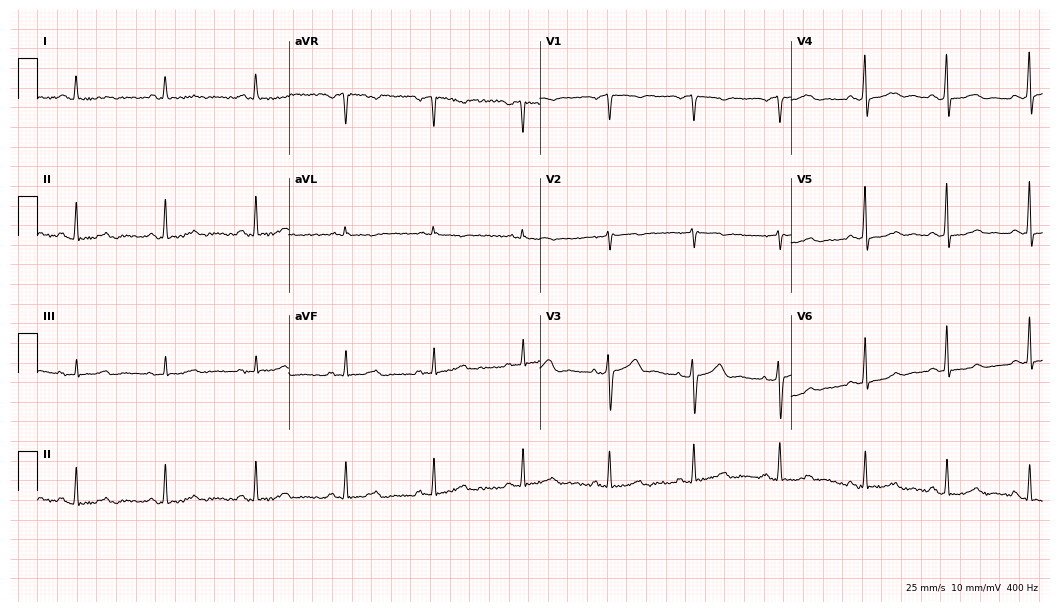
12-lead ECG from a female patient, 55 years old. Screened for six findings — first-degree AV block, right bundle branch block, left bundle branch block, sinus bradycardia, atrial fibrillation, sinus tachycardia — none is recorded.